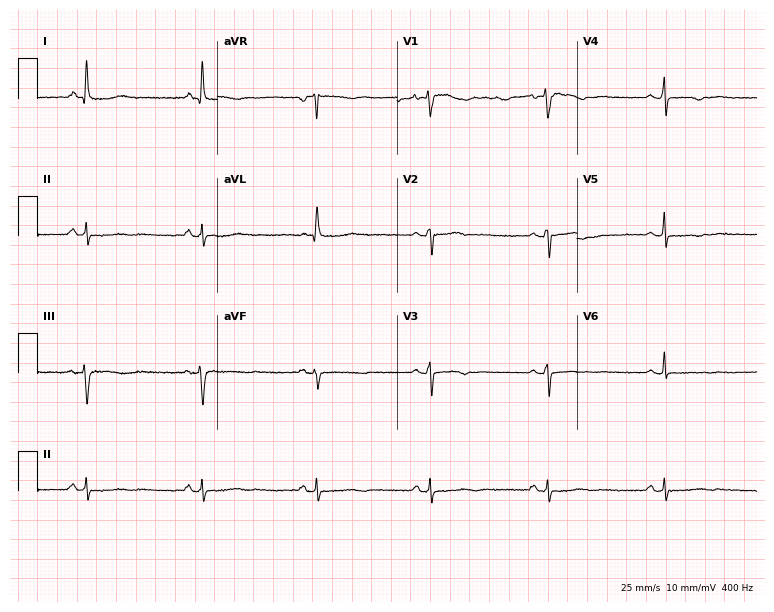
Standard 12-lead ECG recorded from a 61-year-old female patient. The tracing shows sinus bradycardia (a sinus rate of 50 beats per minute or less).